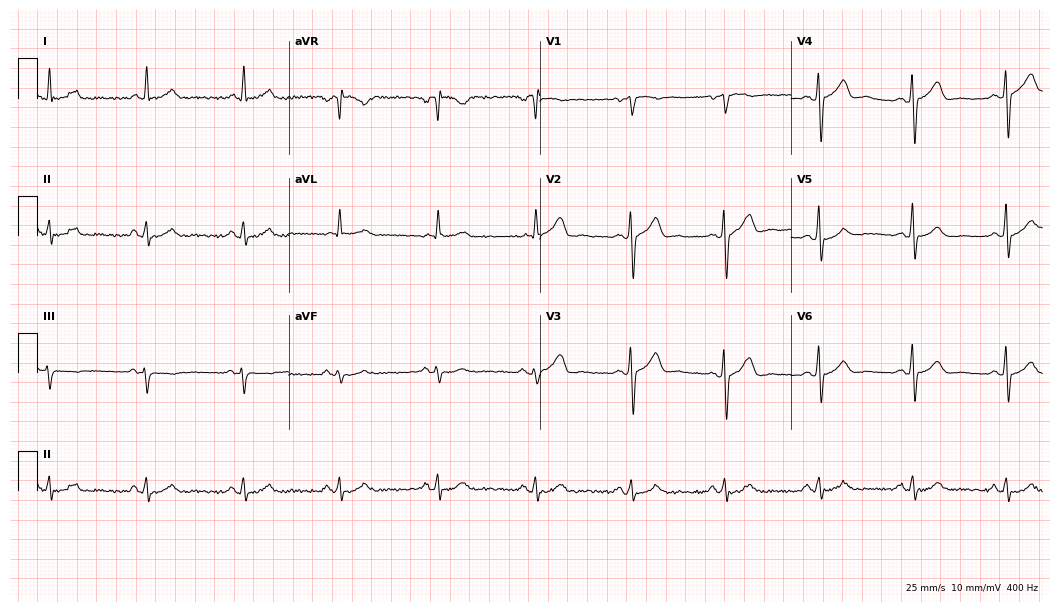
Electrocardiogram (10.2-second recording at 400 Hz), a 56-year-old male patient. Overall reading on record: normal ECG.